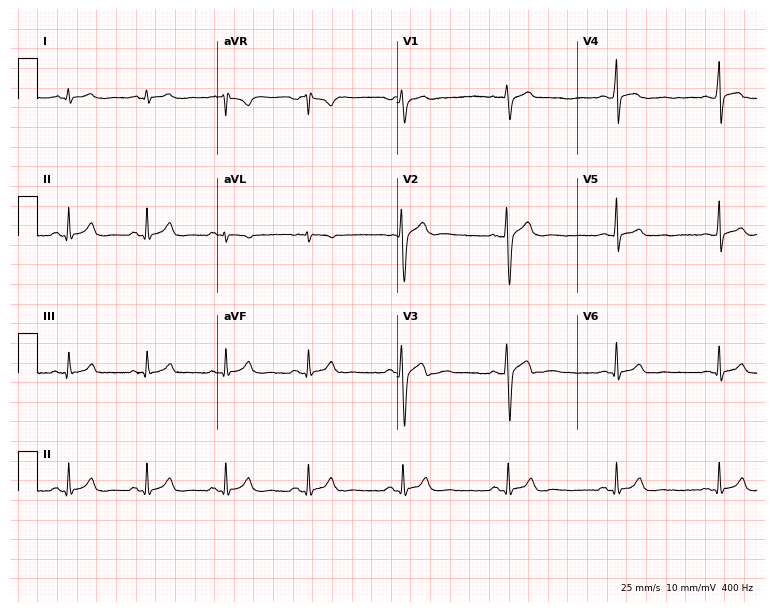
Resting 12-lead electrocardiogram (7.3-second recording at 400 Hz). Patient: an 18-year-old male. Read as a normal ECG.